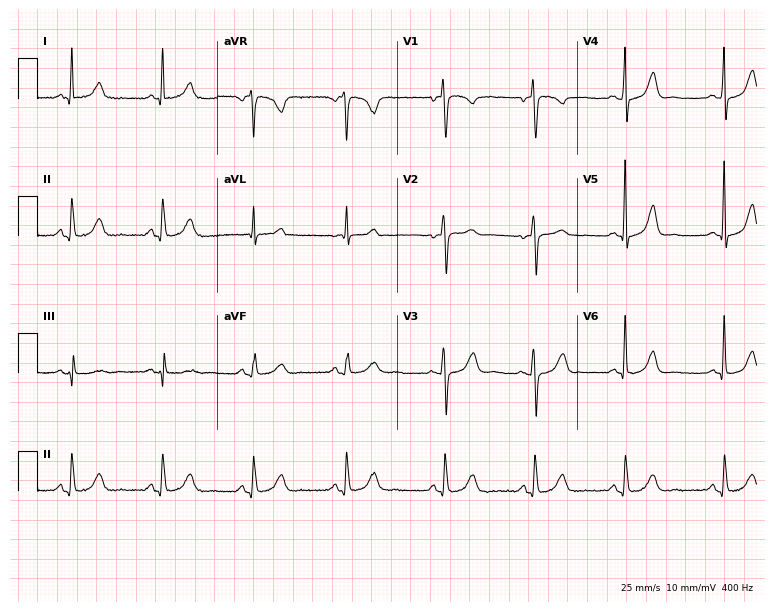
ECG — a female, 72 years old. Labelled as a normal ECG.